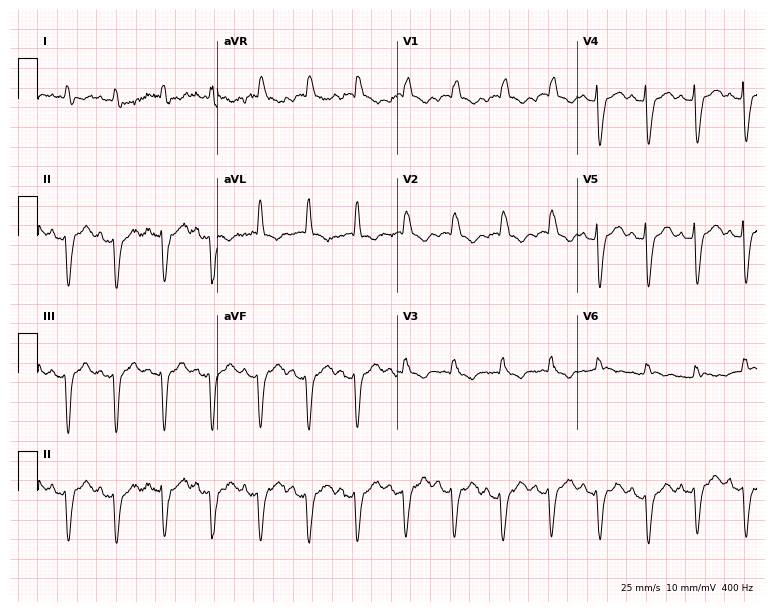
12-lead ECG from a female, 78 years old. Shows right bundle branch block (RBBB), sinus tachycardia (a sinus rate of 100 beats per minute or more).